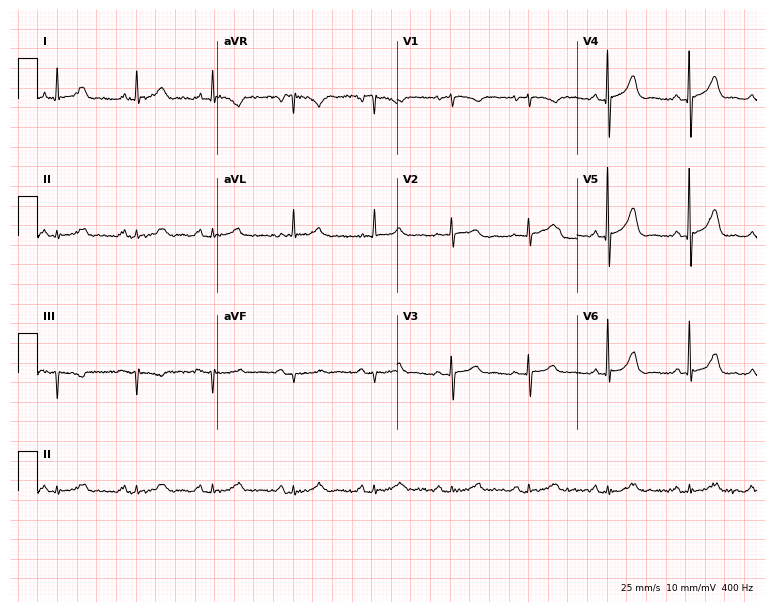
Resting 12-lead electrocardiogram (7.3-second recording at 400 Hz). Patient: a woman, 69 years old. Read as a normal ECG.